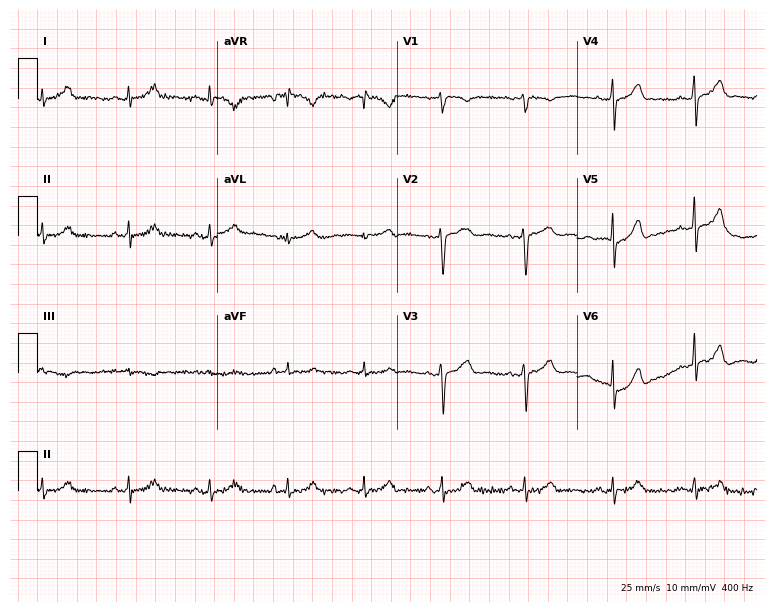
Electrocardiogram (7.3-second recording at 400 Hz), a female patient, 35 years old. Overall reading on record: normal ECG.